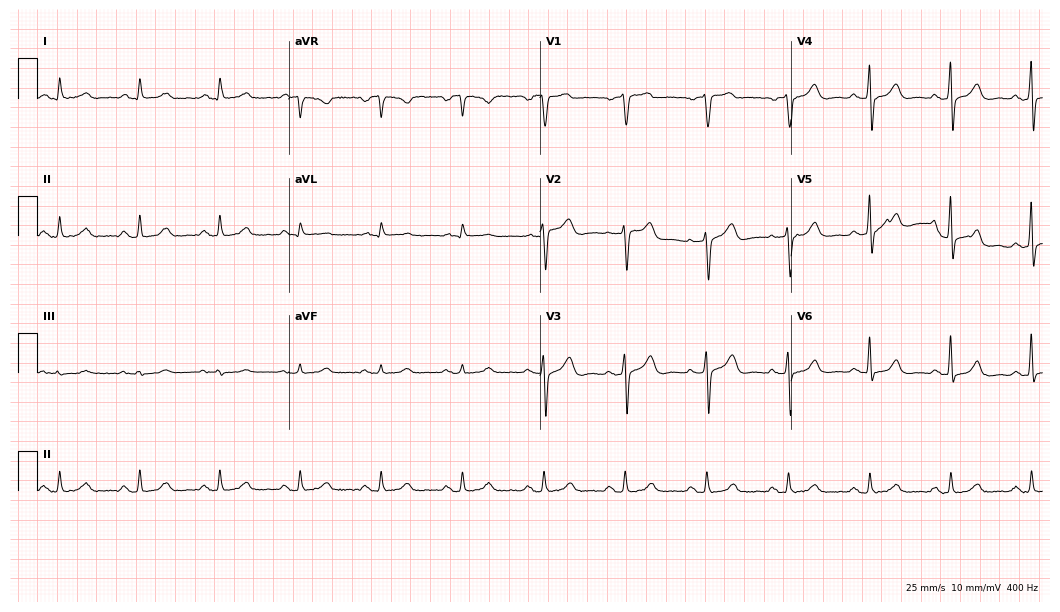
12-lead ECG from a male patient, 83 years old (10.2-second recording at 400 Hz). Recorded interpretation: within normal limits.